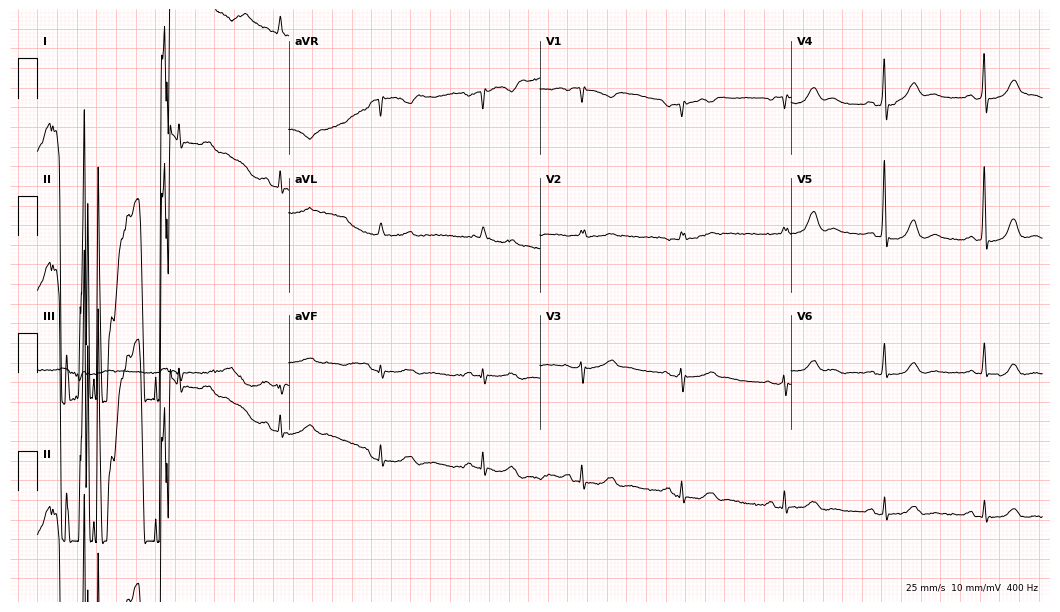
Standard 12-lead ECG recorded from a 71-year-old woman (10.2-second recording at 400 Hz). None of these six findings is recorded: first-degree AV block, right bundle branch block (RBBB), left bundle branch block (LBBB), sinus bradycardia, atrial fibrillation (AF), sinus tachycardia.